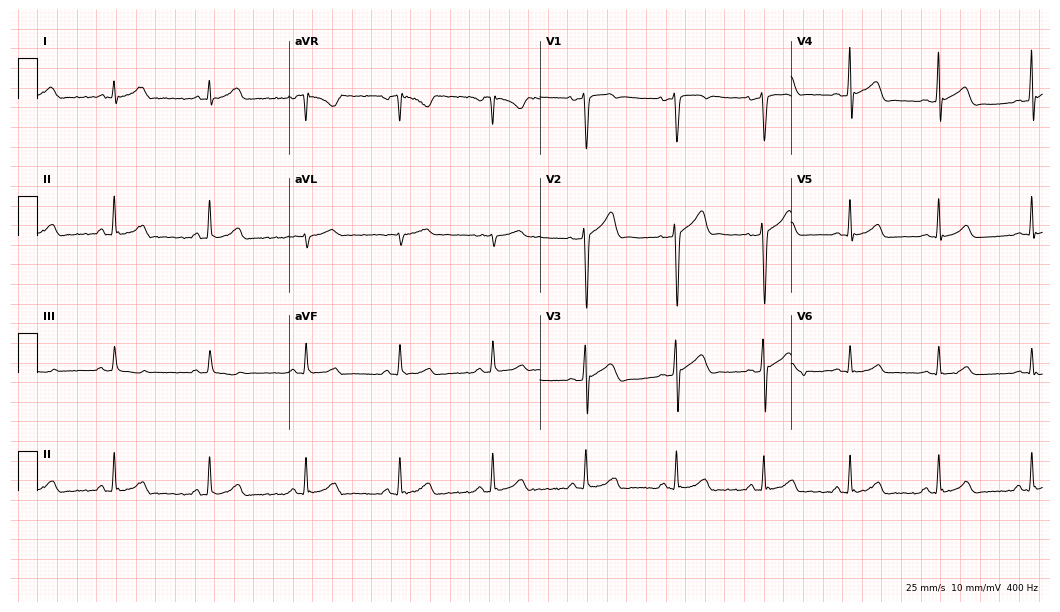
Electrocardiogram (10.2-second recording at 400 Hz), a male patient, 21 years old. Overall reading on record: normal ECG.